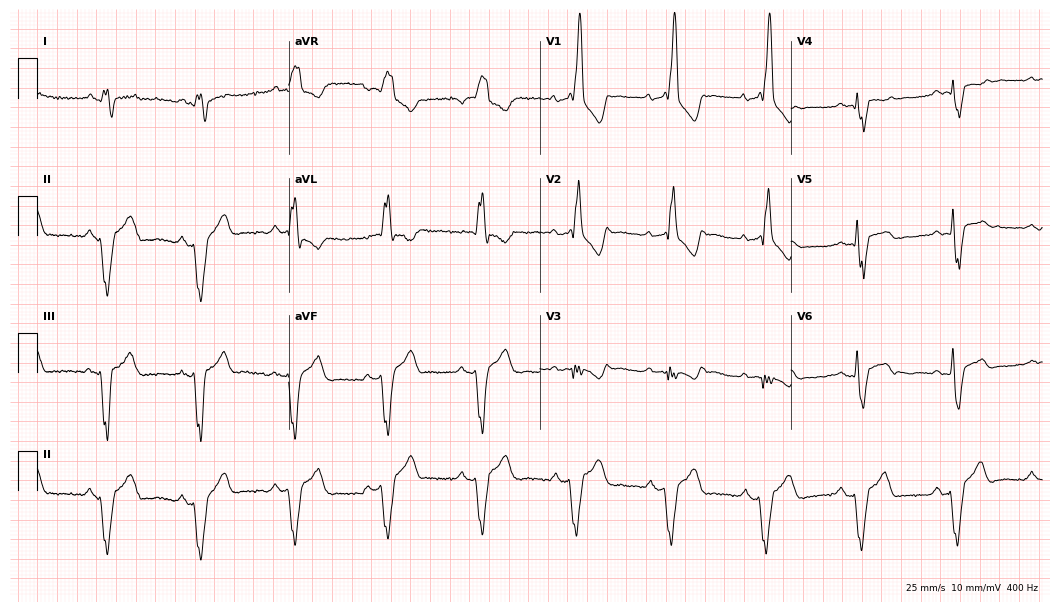
Electrocardiogram (10.2-second recording at 400 Hz), a man, 66 years old. Interpretation includes right bundle branch block (RBBB).